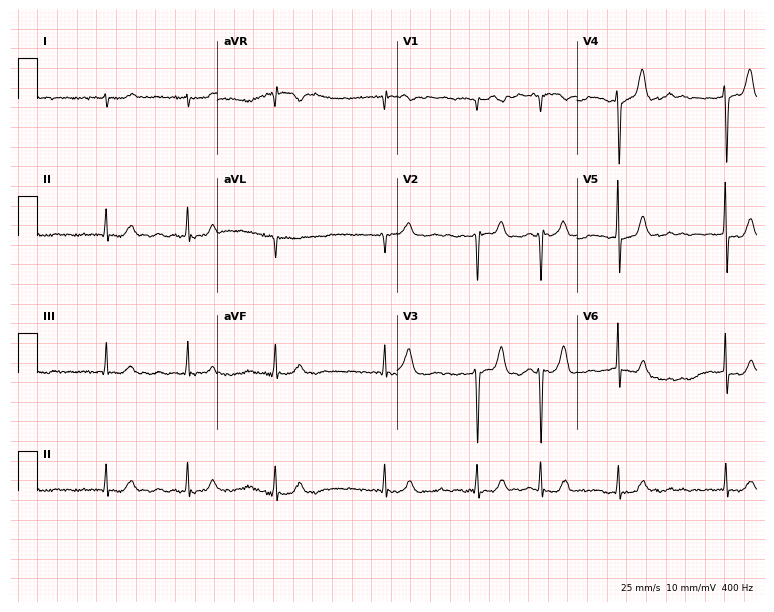
Standard 12-lead ECG recorded from a female, 81 years old (7.3-second recording at 400 Hz). The tracing shows atrial fibrillation (AF).